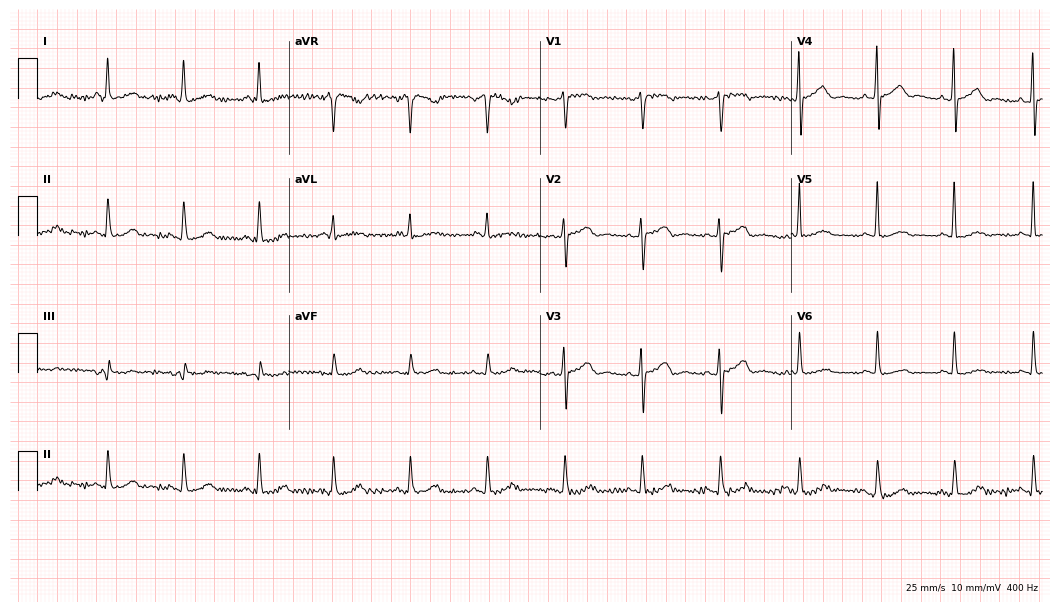
12-lead ECG from a 66-year-old female (10.2-second recording at 400 Hz). Recorded interpretation: within normal limits.